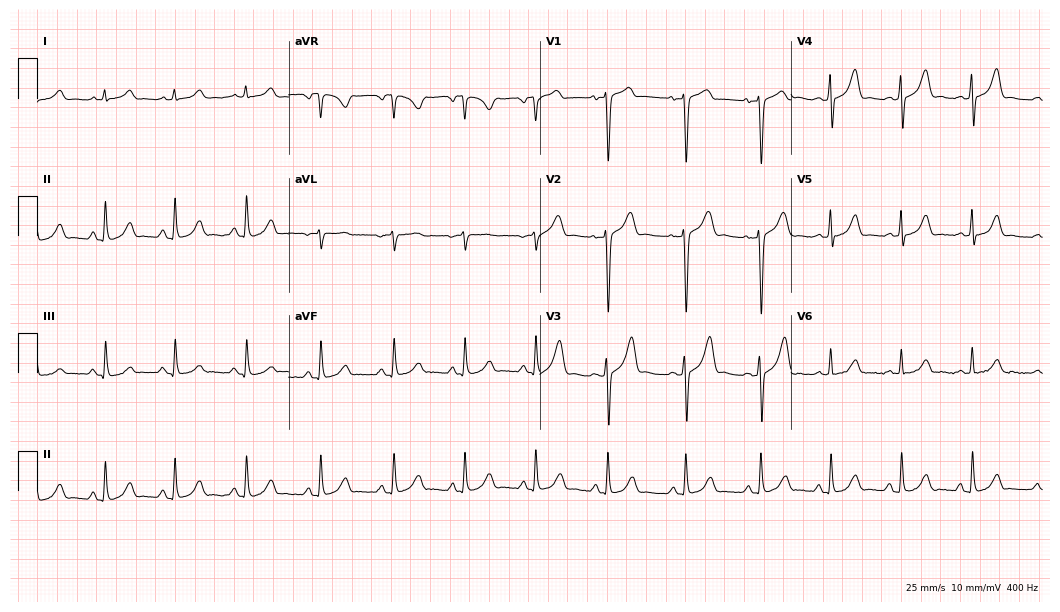
12-lead ECG (10.2-second recording at 400 Hz) from a woman, 35 years old. Labelled as a normal ECG.